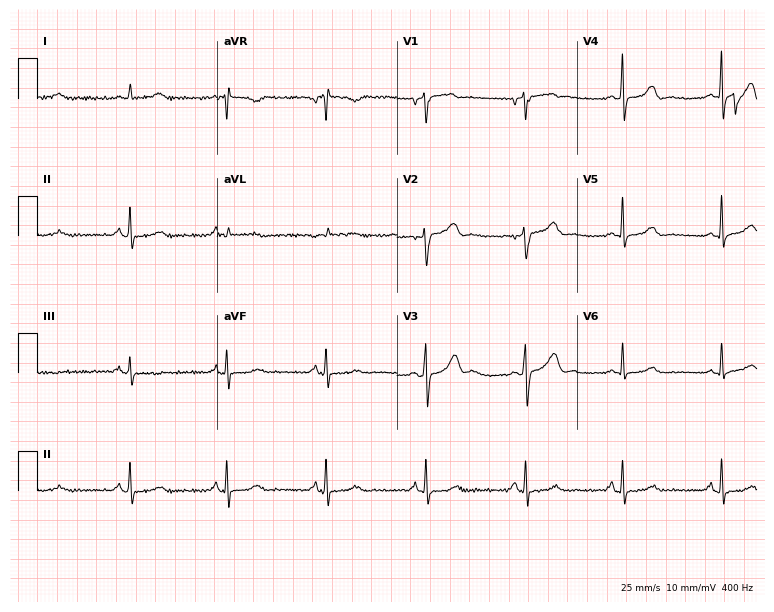
ECG (7.3-second recording at 400 Hz) — a male patient, 73 years old. Labelled as a normal ECG.